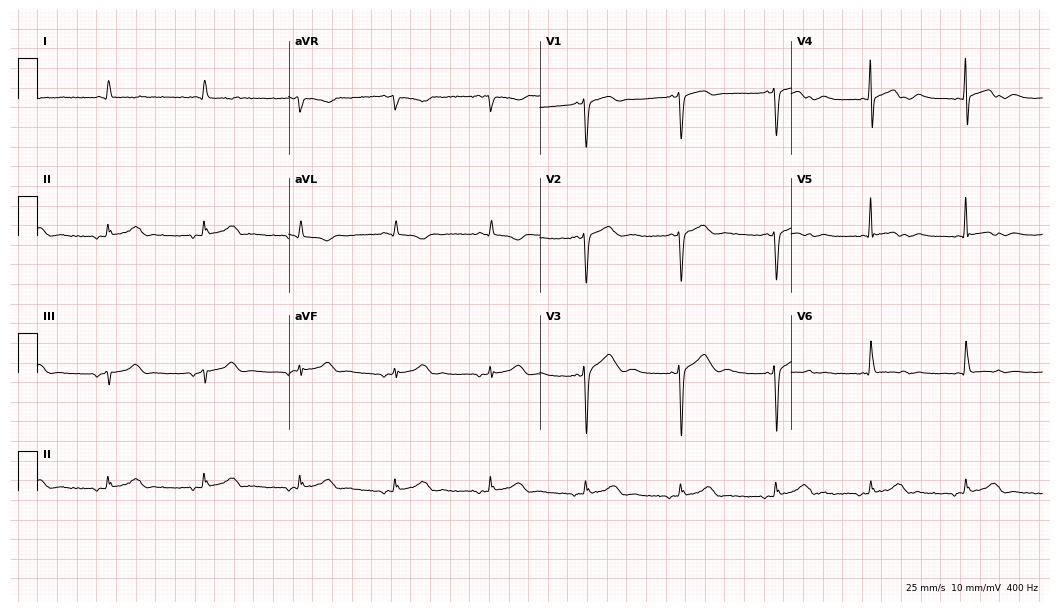
Standard 12-lead ECG recorded from a female, 76 years old. None of these six findings is recorded: first-degree AV block, right bundle branch block, left bundle branch block, sinus bradycardia, atrial fibrillation, sinus tachycardia.